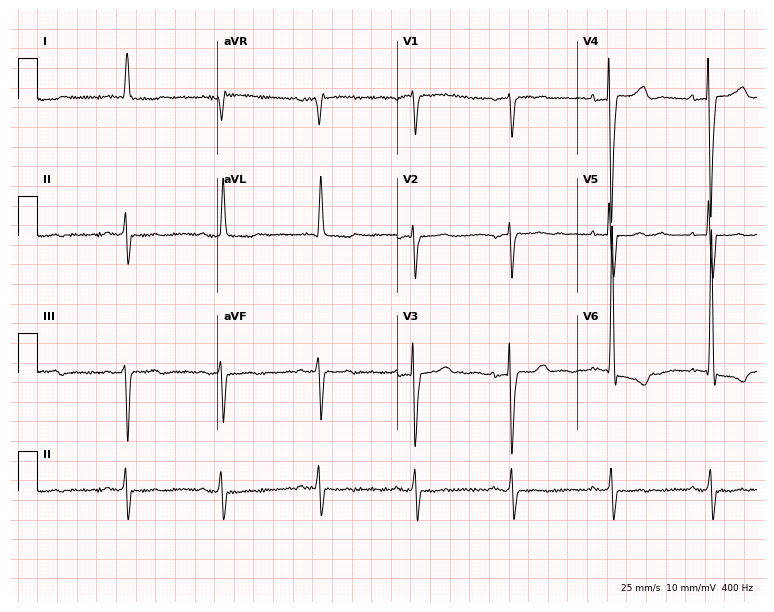
Resting 12-lead electrocardiogram. Patient: an 84-year-old female. None of these six findings is recorded: first-degree AV block, right bundle branch block, left bundle branch block, sinus bradycardia, atrial fibrillation, sinus tachycardia.